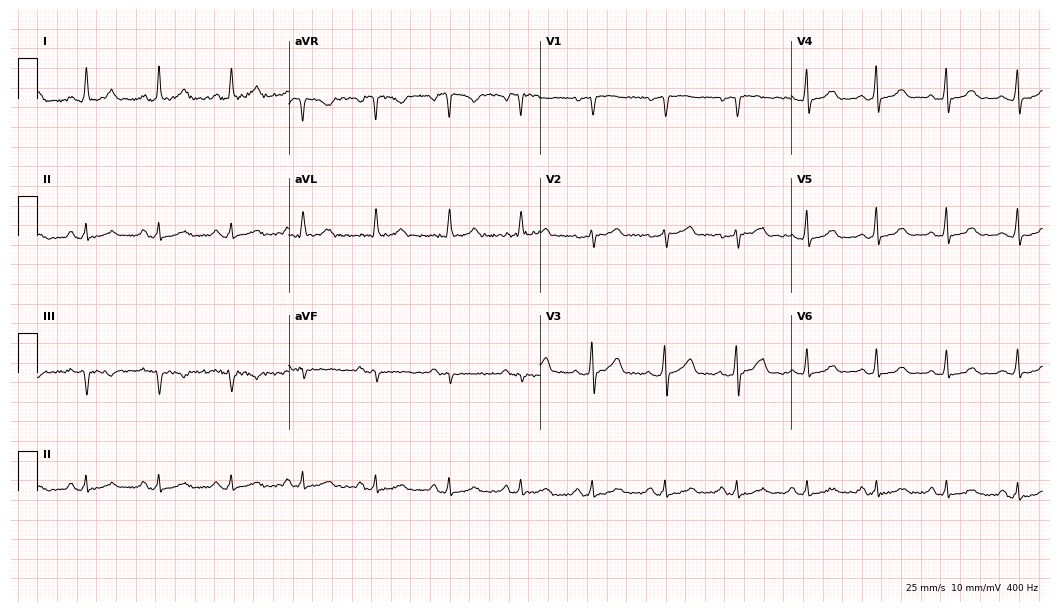
12-lead ECG from a female, 44 years old. Labelled as a normal ECG.